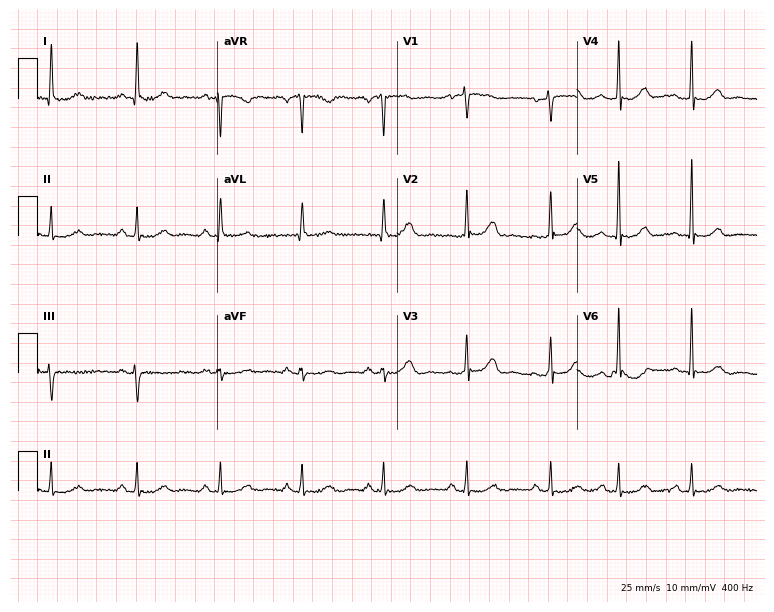
Electrocardiogram, a woman, 66 years old. Overall reading on record: normal ECG.